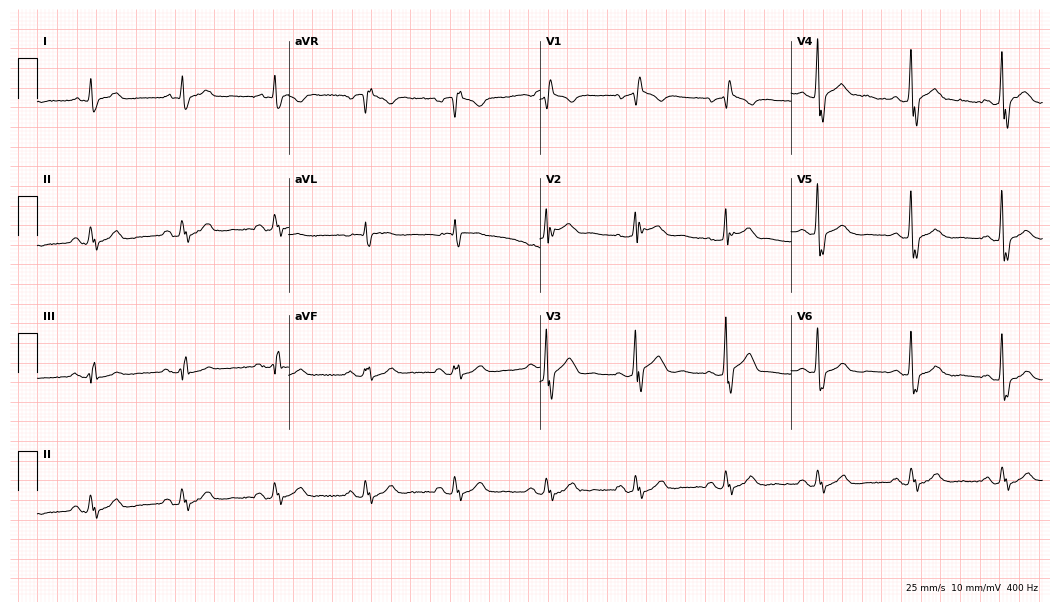
12-lead ECG (10.2-second recording at 400 Hz) from a 69-year-old male patient. Findings include right bundle branch block (RBBB).